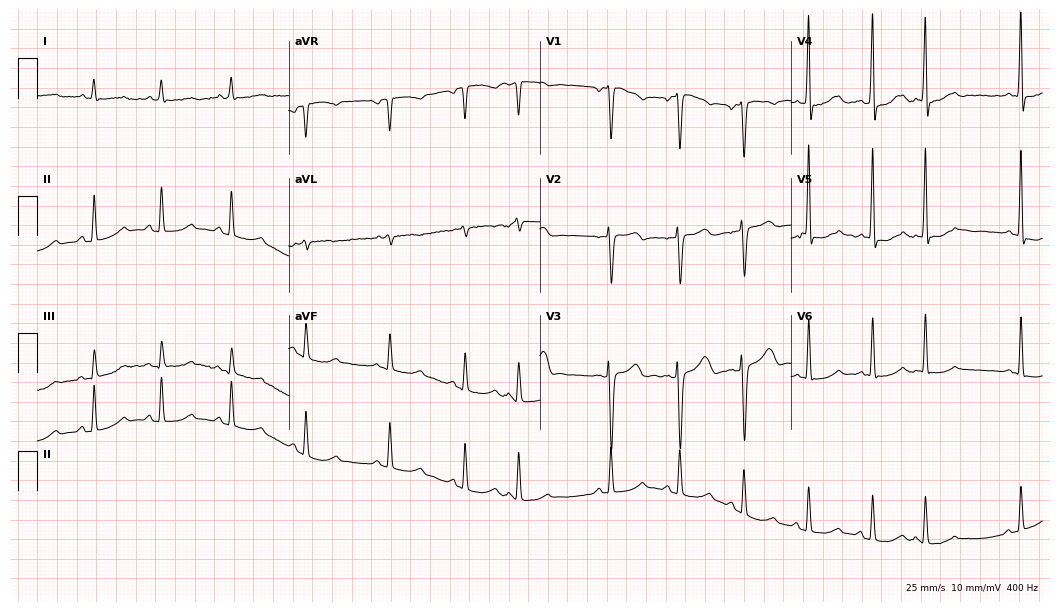
Resting 12-lead electrocardiogram (10.2-second recording at 400 Hz). Patient: a male, 49 years old. None of these six findings is recorded: first-degree AV block, right bundle branch block, left bundle branch block, sinus bradycardia, atrial fibrillation, sinus tachycardia. Findings outside these six are not listed.